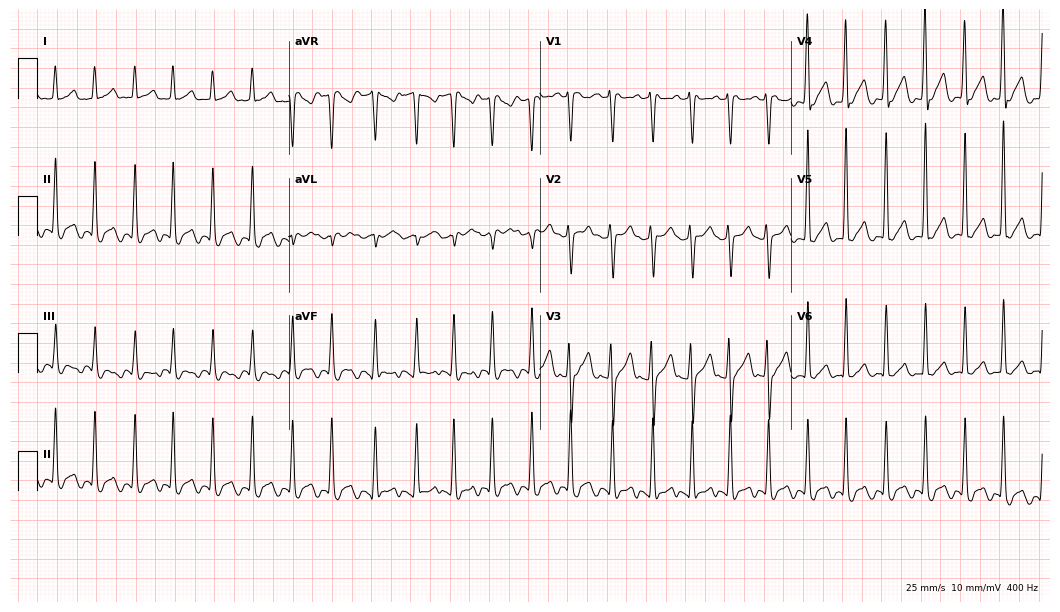
Resting 12-lead electrocardiogram (10.2-second recording at 400 Hz). Patient: a 34-year-old female. The tracing shows sinus tachycardia (a sinus rate of 100 beats per minute or more).